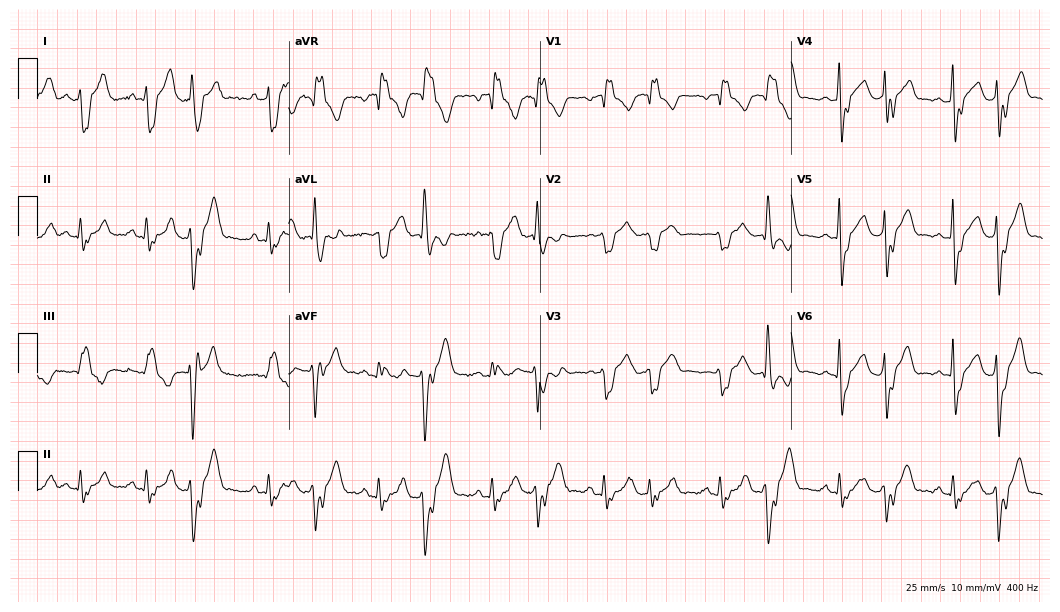
12-lead ECG from a male, 32 years old (10.2-second recording at 400 Hz). Shows right bundle branch block (RBBB).